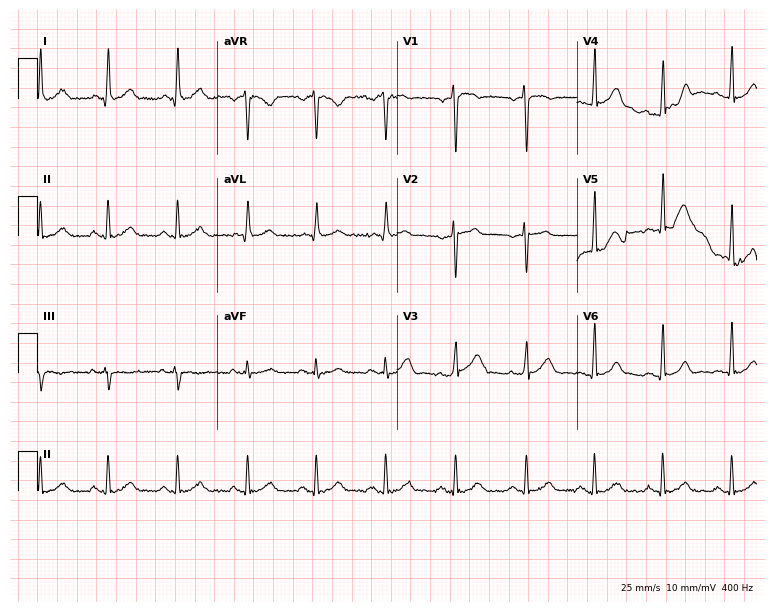
Electrocardiogram (7.3-second recording at 400 Hz), a 50-year-old male. Overall reading on record: normal ECG.